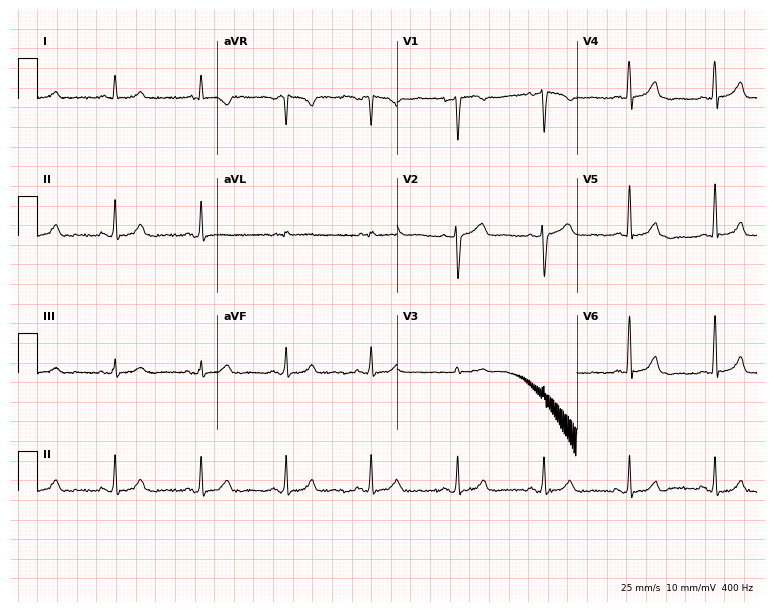
12-lead ECG from a 54-year-old man (7.3-second recording at 400 Hz). Recorded interpretation: within normal limits.